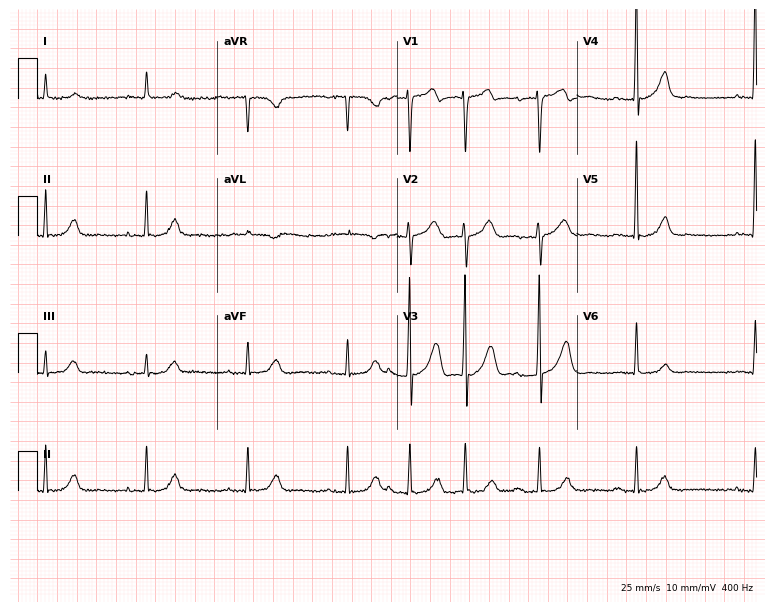
Electrocardiogram (7.3-second recording at 400 Hz), a male, 85 years old. Of the six screened findings (first-degree AV block, right bundle branch block, left bundle branch block, sinus bradycardia, atrial fibrillation, sinus tachycardia), none is recorded. Findings outside these six are not listed.